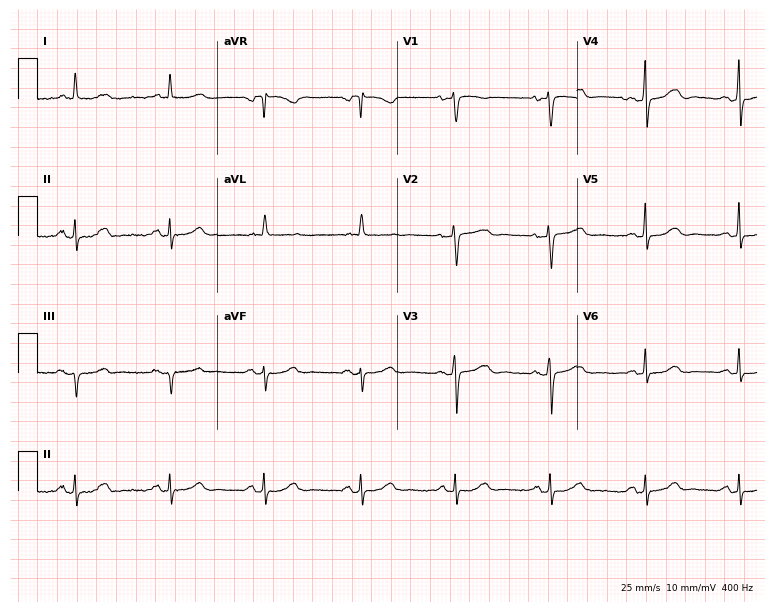
Standard 12-lead ECG recorded from a 73-year-old female patient (7.3-second recording at 400 Hz). Read as a normal ECG.